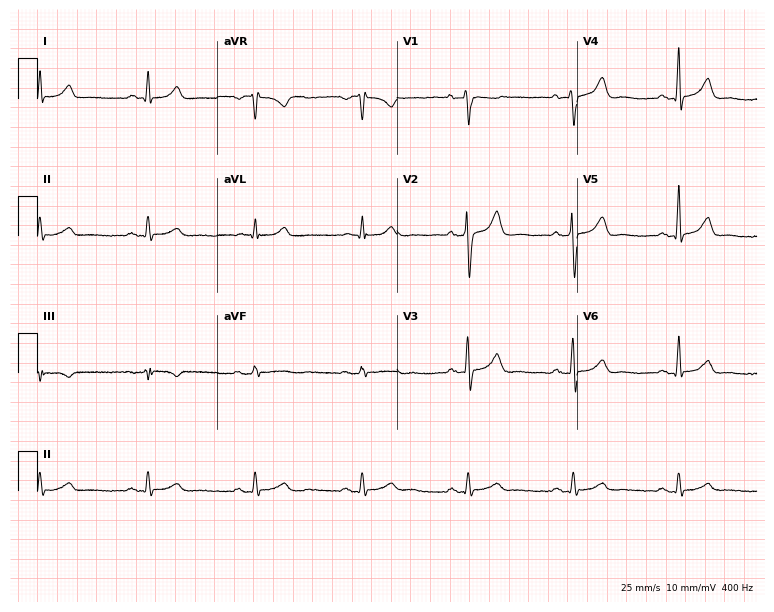
12-lead ECG from a 56-year-old male patient (7.3-second recording at 400 Hz). Recorded interpretation: within normal limits.